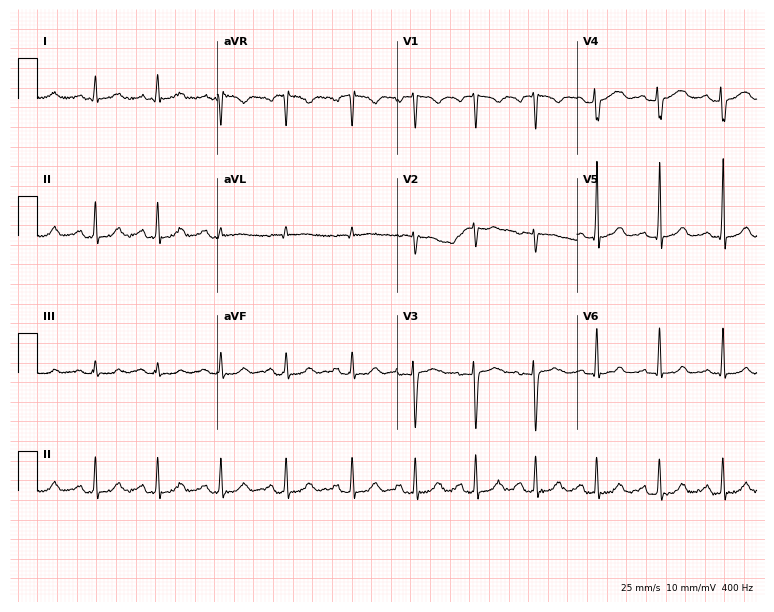
Resting 12-lead electrocardiogram (7.3-second recording at 400 Hz). Patient: a female, 26 years old. Read as a normal ECG.